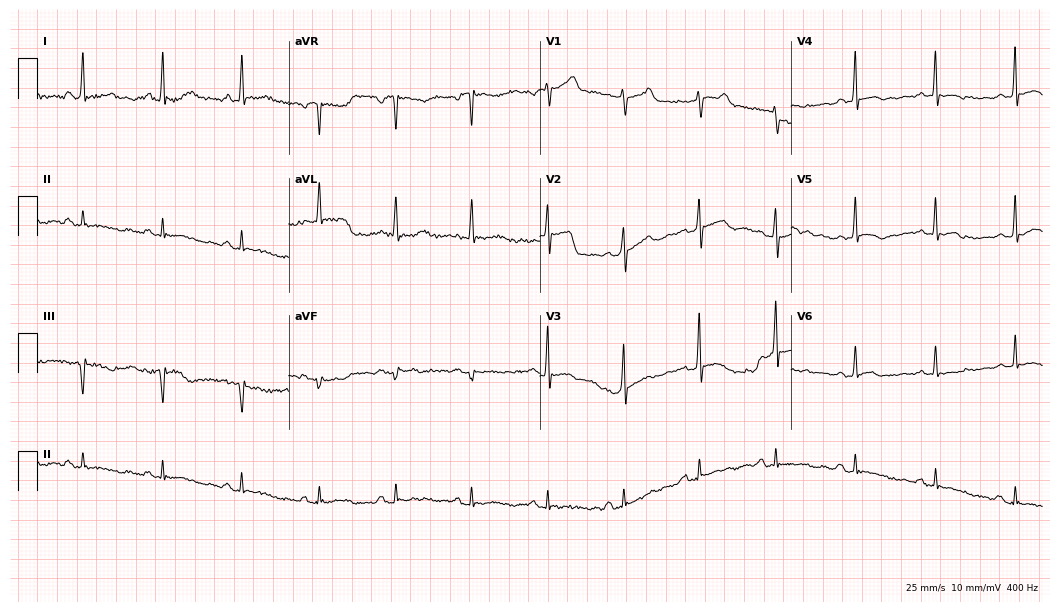
ECG (10.2-second recording at 400 Hz) — a 46-year-old male patient. Screened for six findings — first-degree AV block, right bundle branch block, left bundle branch block, sinus bradycardia, atrial fibrillation, sinus tachycardia — none is recorded.